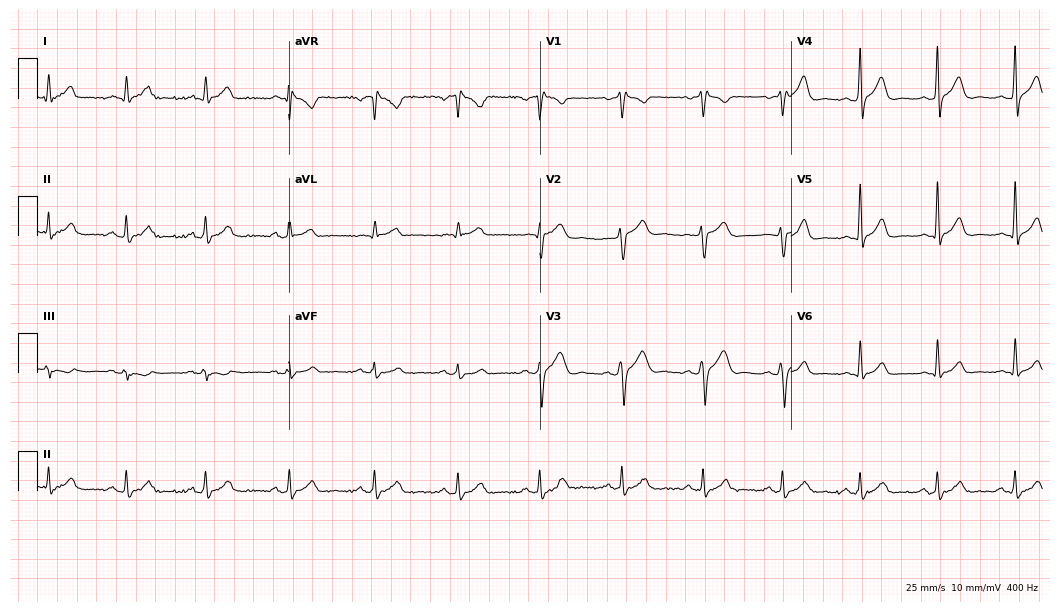
Electrocardiogram (10.2-second recording at 400 Hz), a 48-year-old male patient. Overall reading on record: normal ECG.